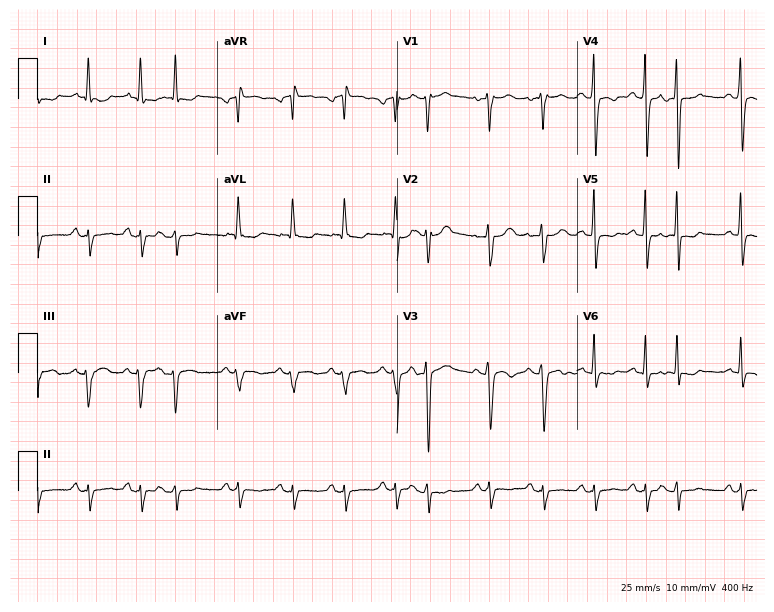
12-lead ECG from a 65-year-old female. No first-degree AV block, right bundle branch block (RBBB), left bundle branch block (LBBB), sinus bradycardia, atrial fibrillation (AF) or sinus tachycardia recorded for this tracing.